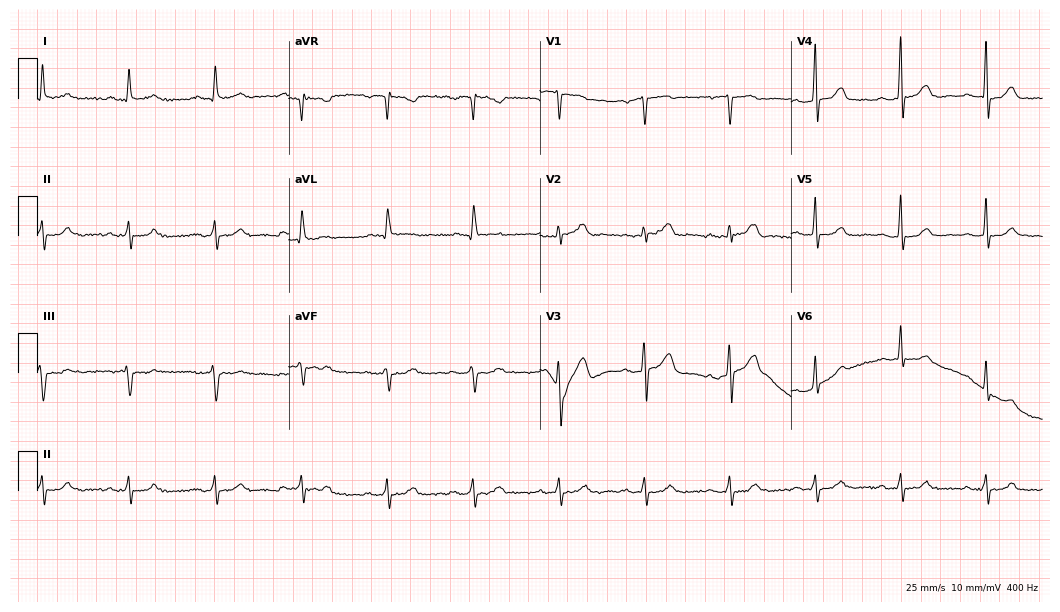
12-lead ECG (10.2-second recording at 400 Hz) from a male, 71 years old. Findings include first-degree AV block.